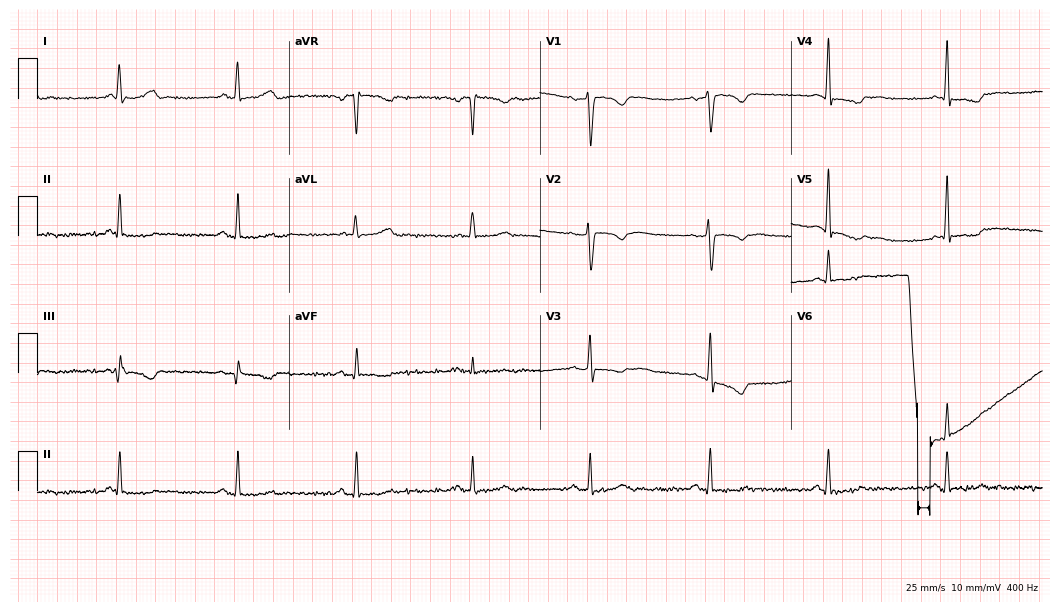
Standard 12-lead ECG recorded from a 59-year-old female (10.2-second recording at 400 Hz). None of these six findings is recorded: first-degree AV block, right bundle branch block, left bundle branch block, sinus bradycardia, atrial fibrillation, sinus tachycardia. Other findings, if any, are not listed.